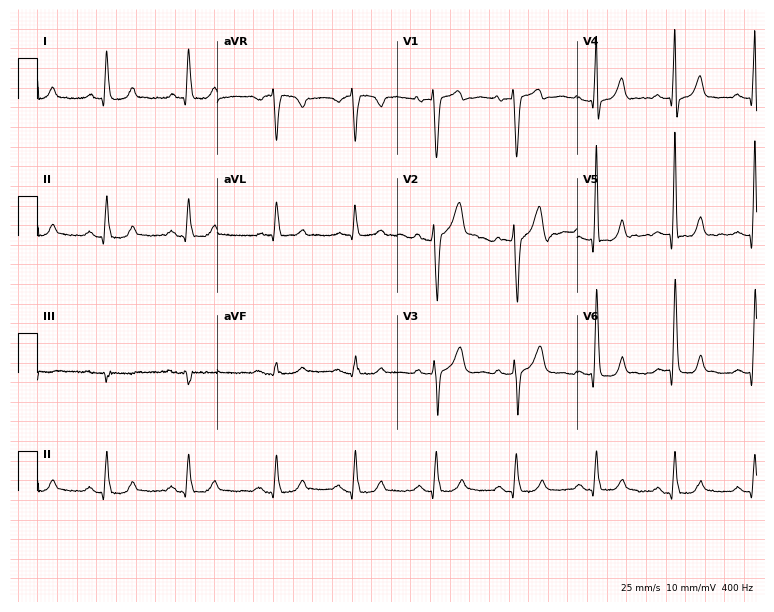
ECG (7.3-second recording at 400 Hz) — a male patient, 55 years old. Labelled as a normal ECG.